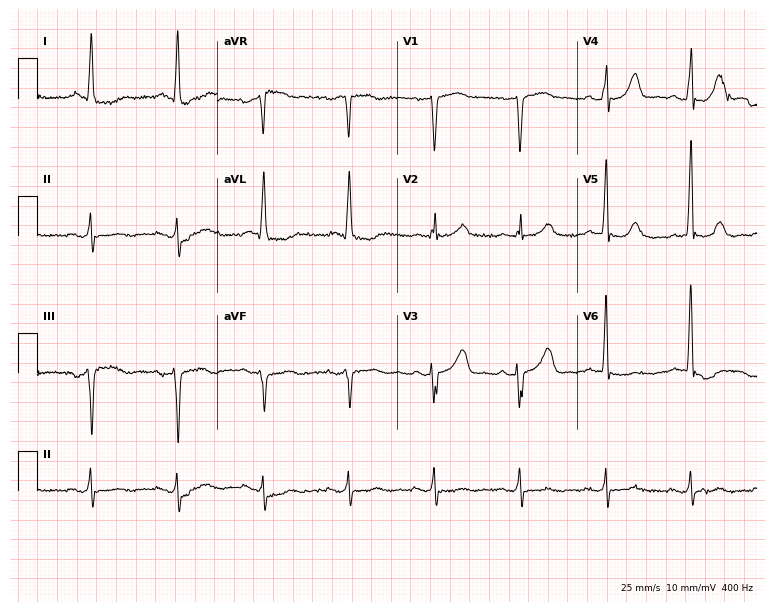
12-lead ECG from a female patient, 78 years old (7.3-second recording at 400 Hz). No first-degree AV block, right bundle branch block, left bundle branch block, sinus bradycardia, atrial fibrillation or sinus tachycardia recorded for this tracing.